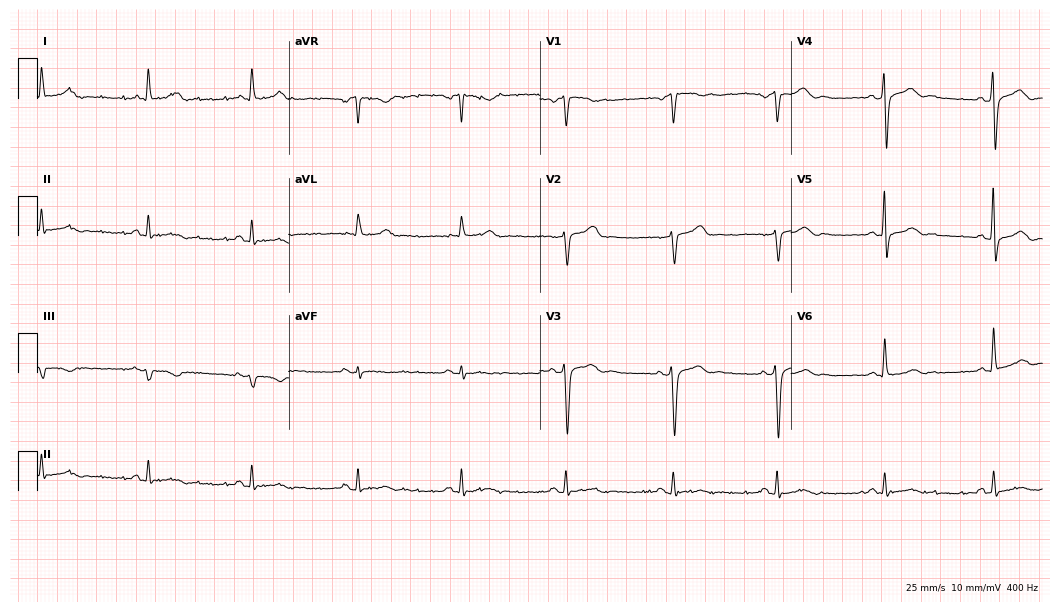
Resting 12-lead electrocardiogram. Patient: a 55-year-old male. Read as a normal ECG.